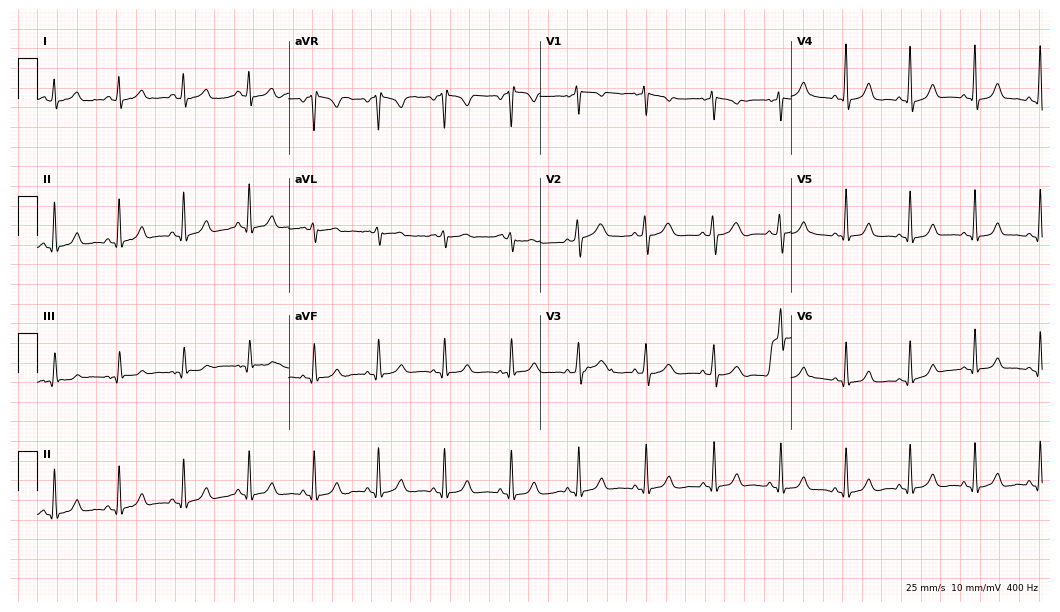
Resting 12-lead electrocardiogram. Patient: a 45-year-old male. Read as a normal ECG.